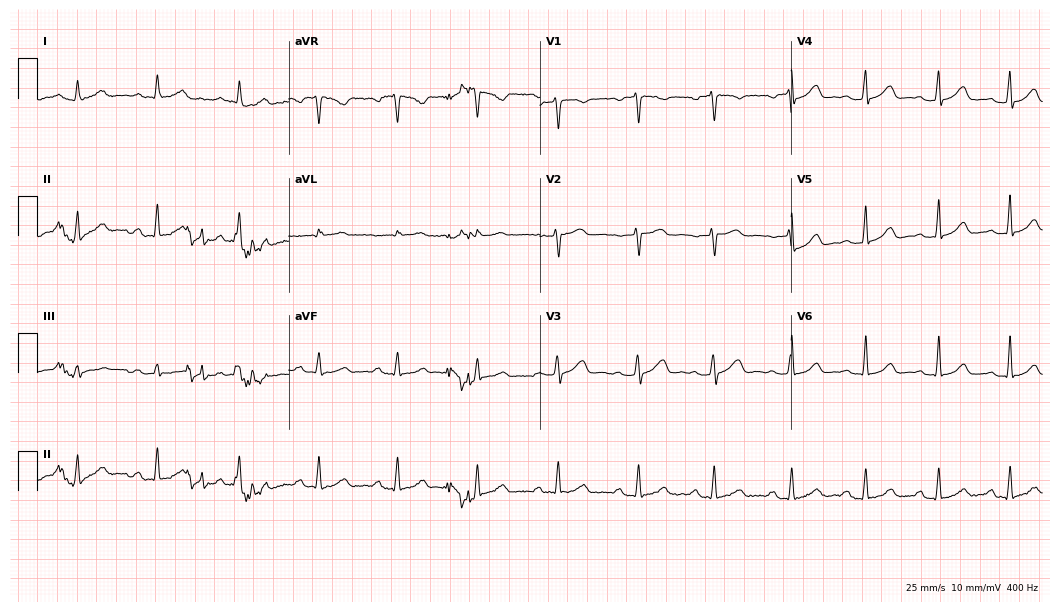
Standard 12-lead ECG recorded from a 37-year-old woman. The tracing shows first-degree AV block.